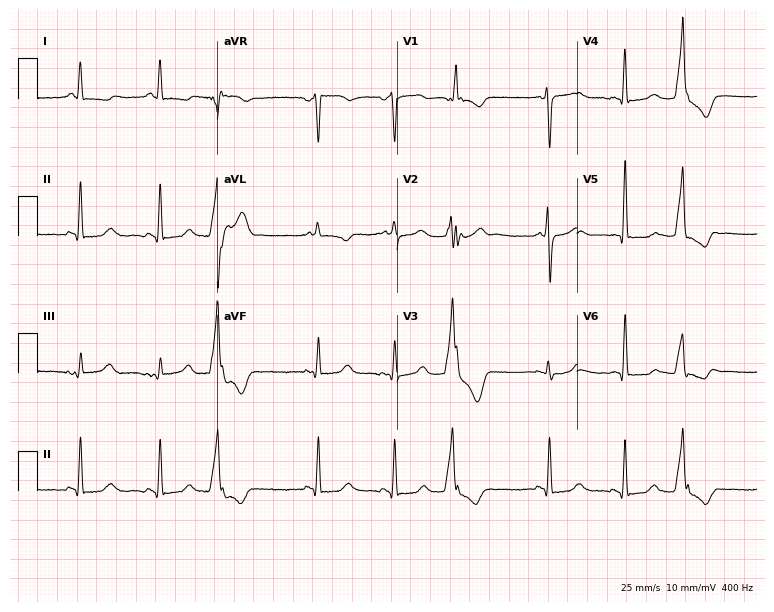
Electrocardiogram, a 60-year-old female. Of the six screened findings (first-degree AV block, right bundle branch block, left bundle branch block, sinus bradycardia, atrial fibrillation, sinus tachycardia), none is recorded.